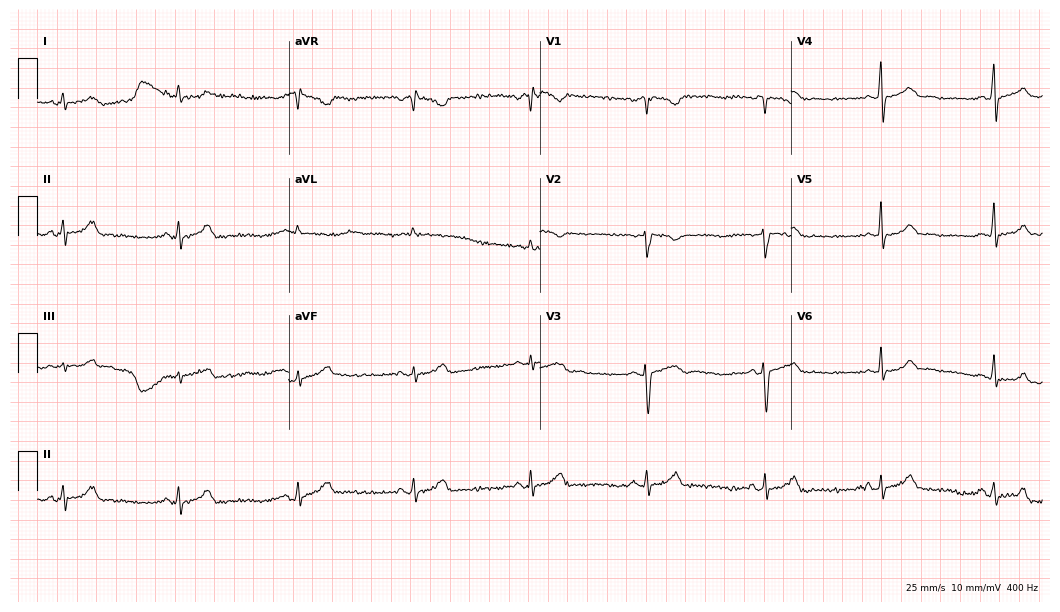
Standard 12-lead ECG recorded from a female patient, 34 years old. Read as a normal ECG.